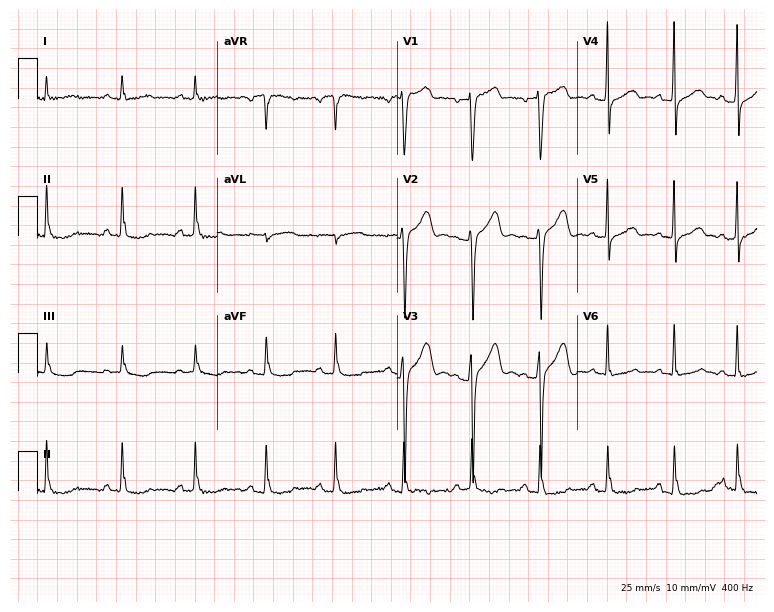
Resting 12-lead electrocardiogram (7.3-second recording at 400 Hz). Patient: a male, 38 years old. None of these six findings is recorded: first-degree AV block, right bundle branch block, left bundle branch block, sinus bradycardia, atrial fibrillation, sinus tachycardia.